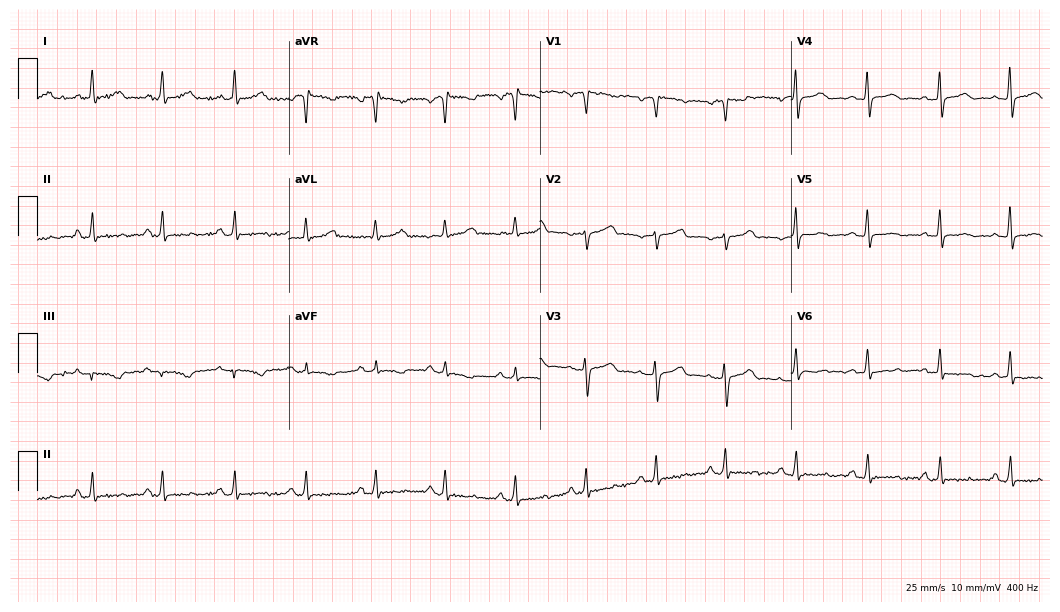
Standard 12-lead ECG recorded from a female patient, 46 years old. None of these six findings is recorded: first-degree AV block, right bundle branch block (RBBB), left bundle branch block (LBBB), sinus bradycardia, atrial fibrillation (AF), sinus tachycardia.